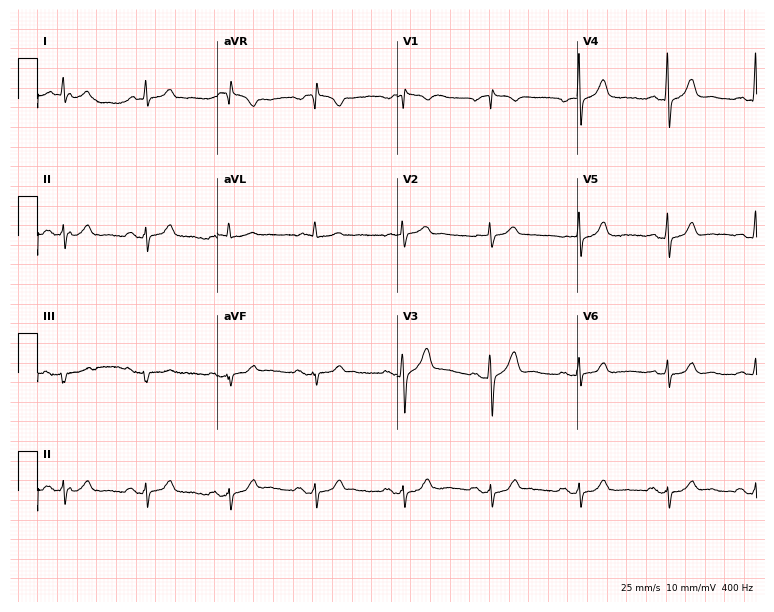
Resting 12-lead electrocardiogram. Patient: a male, 64 years old. None of these six findings is recorded: first-degree AV block, right bundle branch block (RBBB), left bundle branch block (LBBB), sinus bradycardia, atrial fibrillation (AF), sinus tachycardia. Findings outside these six are not listed.